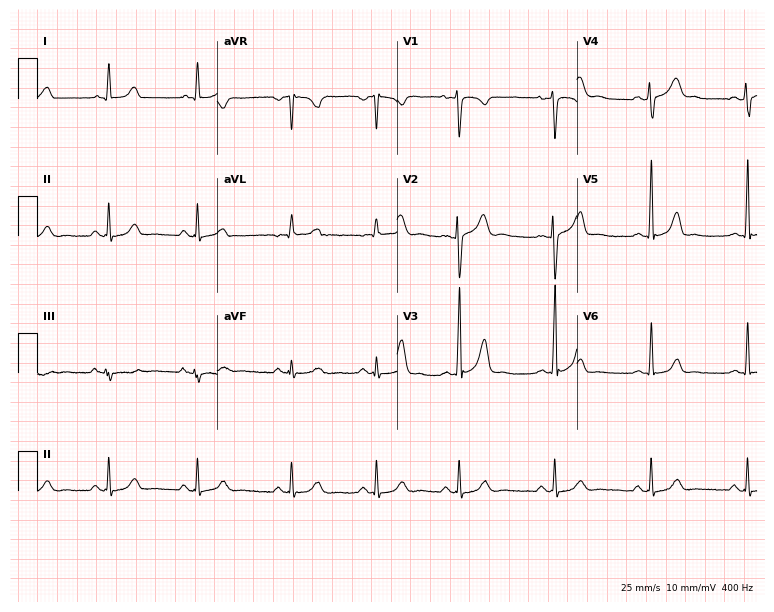
12-lead ECG from a 28-year-old female patient. Recorded interpretation: within normal limits.